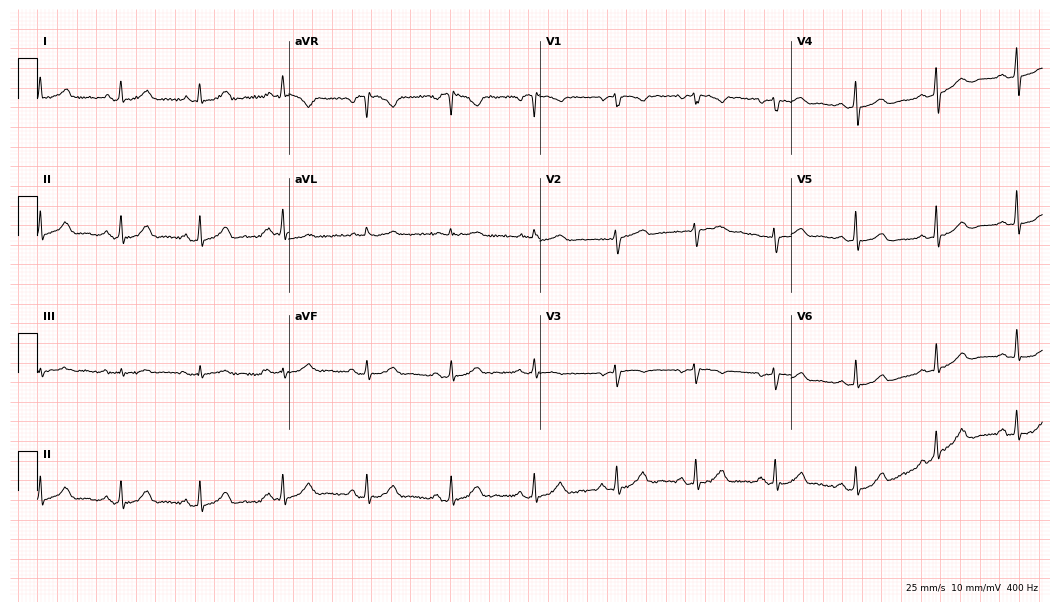
ECG (10.2-second recording at 400 Hz) — a woman, 70 years old. Labelled as a normal ECG.